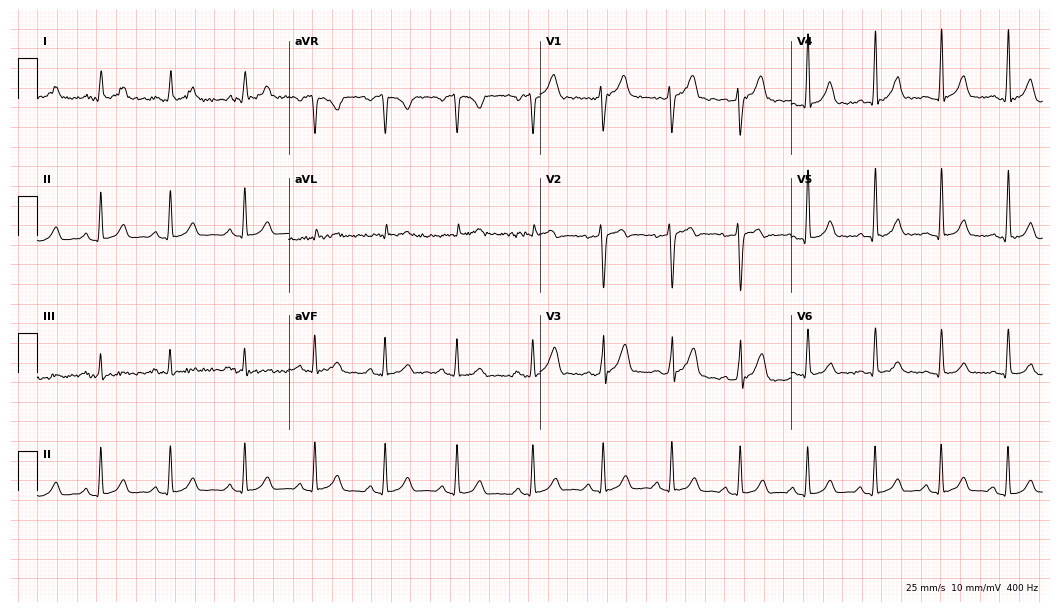
12-lead ECG from a male patient, 32 years old. Recorded interpretation: within normal limits.